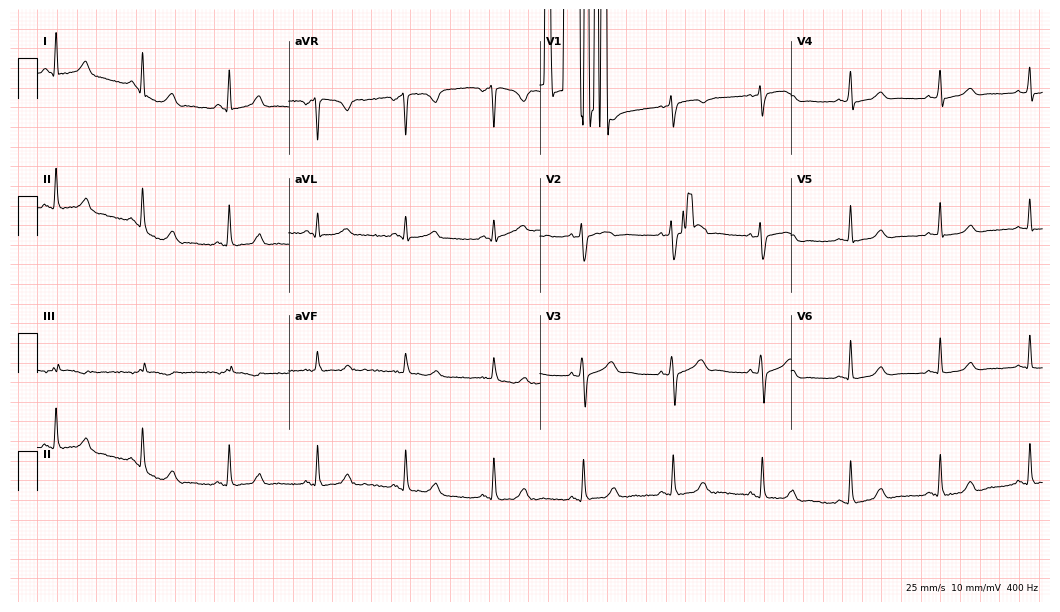
ECG (10.2-second recording at 400 Hz) — a female, 59 years old. Labelled as a normal ECG.